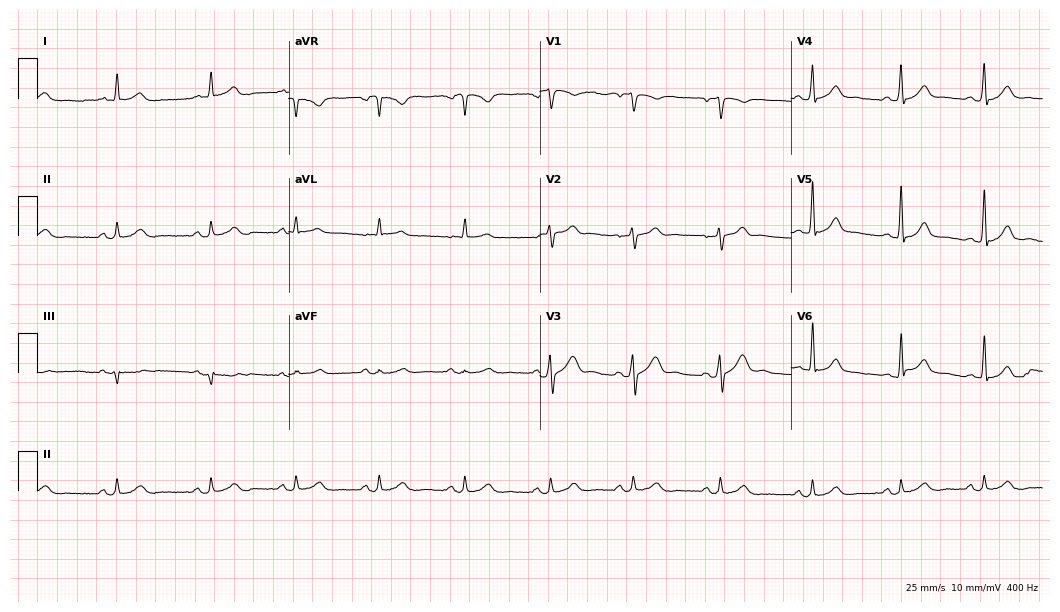
12-lead ECG from a 34-year-old male patient (10.2-second recording at 400 Hz). Recorded interpretation: within normal limits.